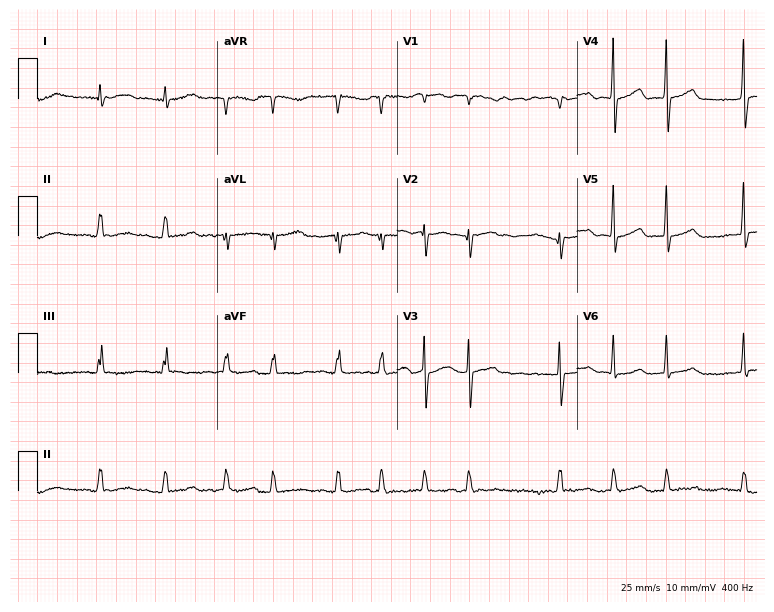
12-lead ECG from a female patient, 75 years old (7.3-second recording at 400 Hz). Shows atrial fibrillation (AF).